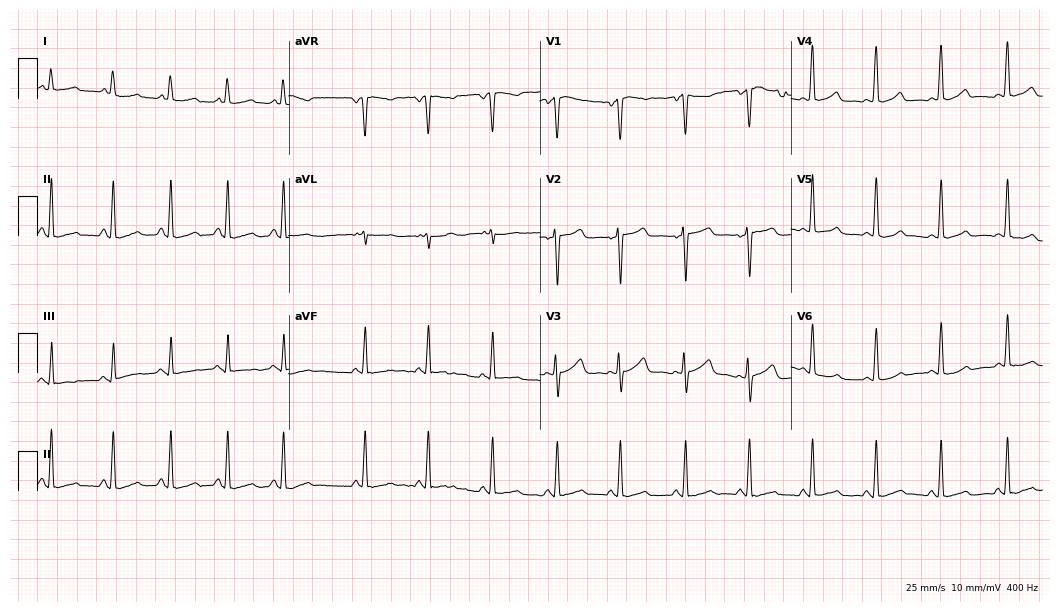
Resting 12-lead electrocardiogram (10.2-second recording at 400 Hz). Patient: a female, 38 years old. None of these six findings is recorded: first-degree AV block, right bundle branch block, left bundle branch block, sinus bradycardia, atrial fibrillation, sinus tachycardia.